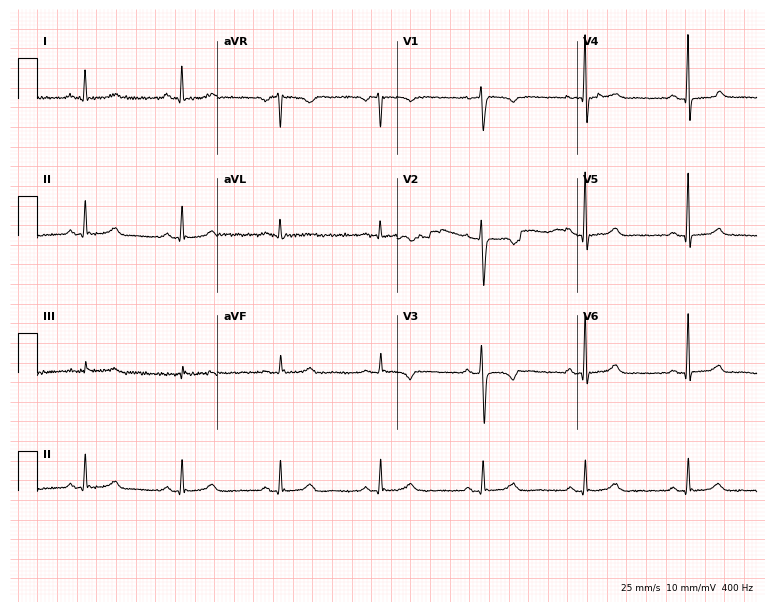
ECG — a 43-year-old male. Screened for six findings — first-degree AV block, right bundle branch block (RBBB), left bundle branch block (LBBB), sinus bradycardia, atrial fibrillation (AF), sinus tachycardia — none is recorded. Findings outside these six are not listed.